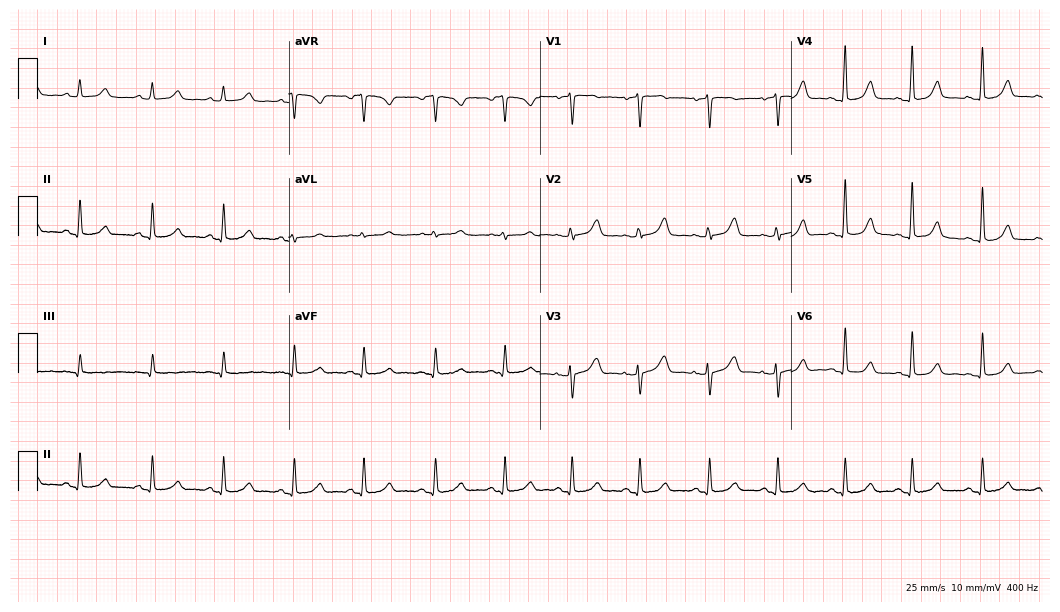
12-lead ECG from a 46-year-old female. Labelled as a normal ECG.